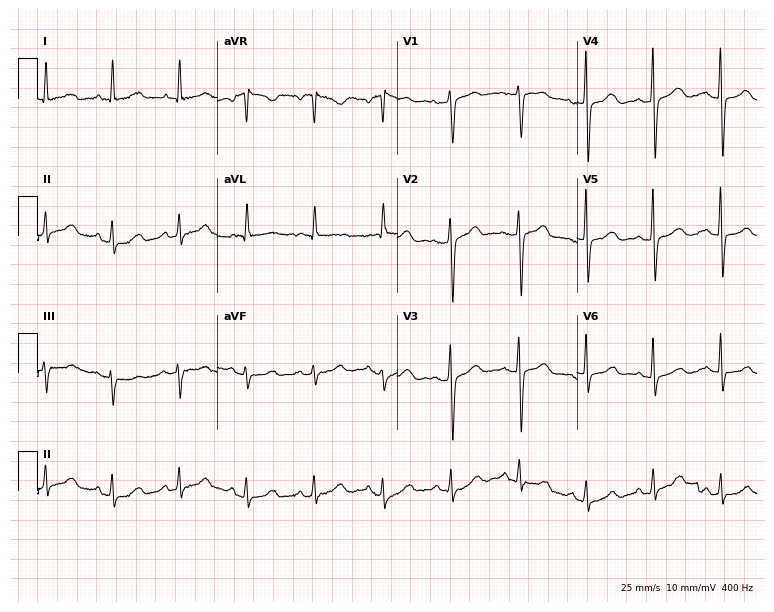
Resting 12-lead electrocardiogram (7.3-second recording at 400 Hz). Patient: a 60-year-old female. None of these six findings is recorded: first-degree AV block, right bundle branch block, left bundle branch block, sinus bradycardia, atrial fibrillation, sinus tachycardia. Only these six findings were labelled.